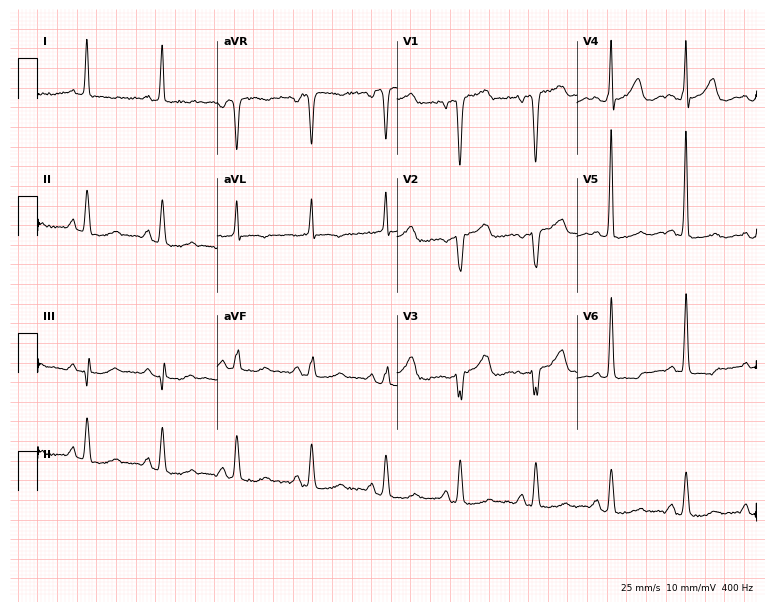
ECG — a 57-year-old female. Screened for six findings — first-degree AV block, right bundle branch block (RBBB), left bundle branch block (LBBB), sinus bradycardia, atrial fibrillation (AF), sinus tachycardia — none is recorded. Findings outside these six are not listed.